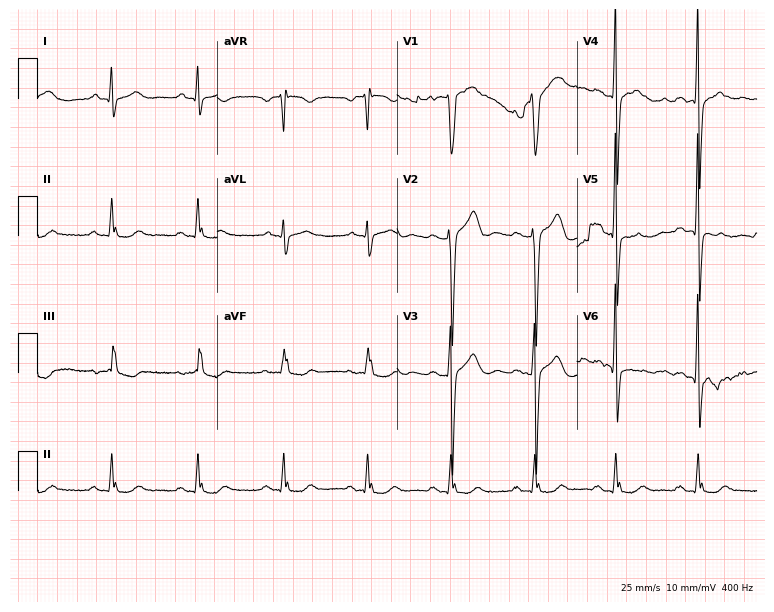
Standard 12-lead ECG recorded from a 53-year-old male (7.3-second recording at 400 Hz). None of these six findings is recorded: first-degree AV block, right bundle branch block (RBBB), left bundle branch block (LBBB), sinus bradycardia, atrial fibrillation (AF), sinus tachycardia. Only these six findings were labelled.